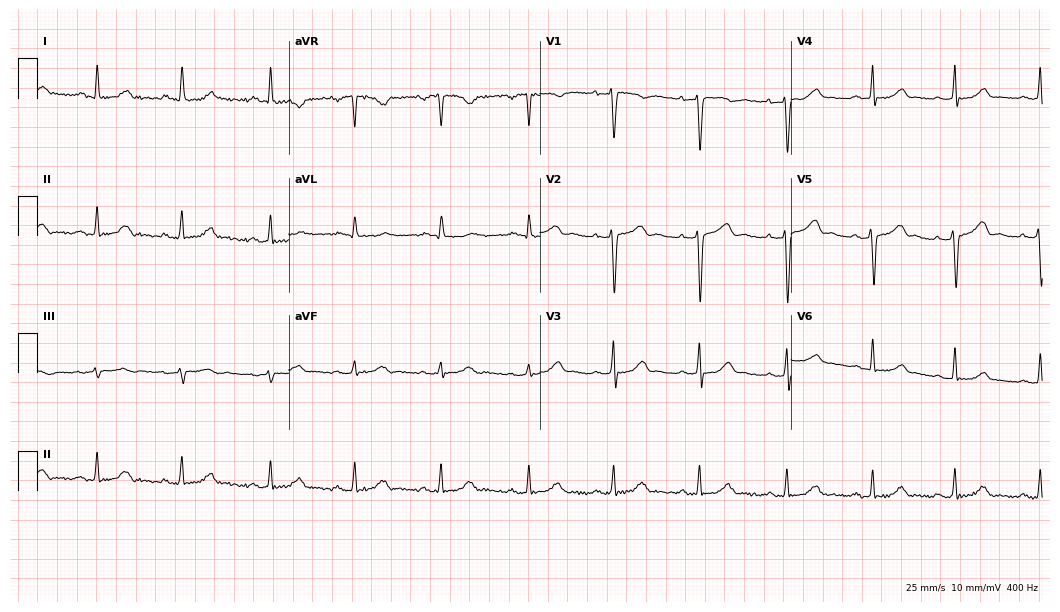
Standard 12-lead ECG recorded from a 32-year-old woman. Read as a normal ECG.